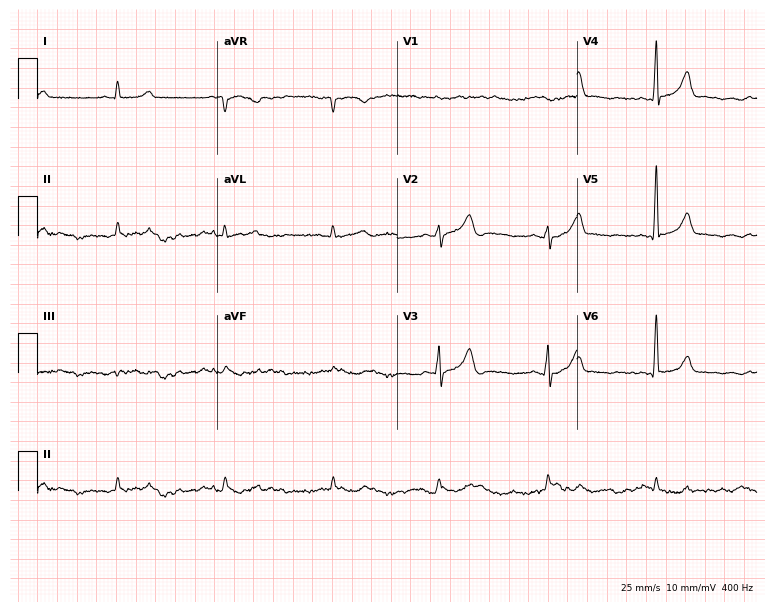
12-lead ECG from a 48-year-old woman. Screened for six findings — first-degree AV block, right bundle branch block, left bundle branch block, sinus bradycardia, atrial fibrillation, sinus tachycardia — none is recorded. Only these six findings were labelled.